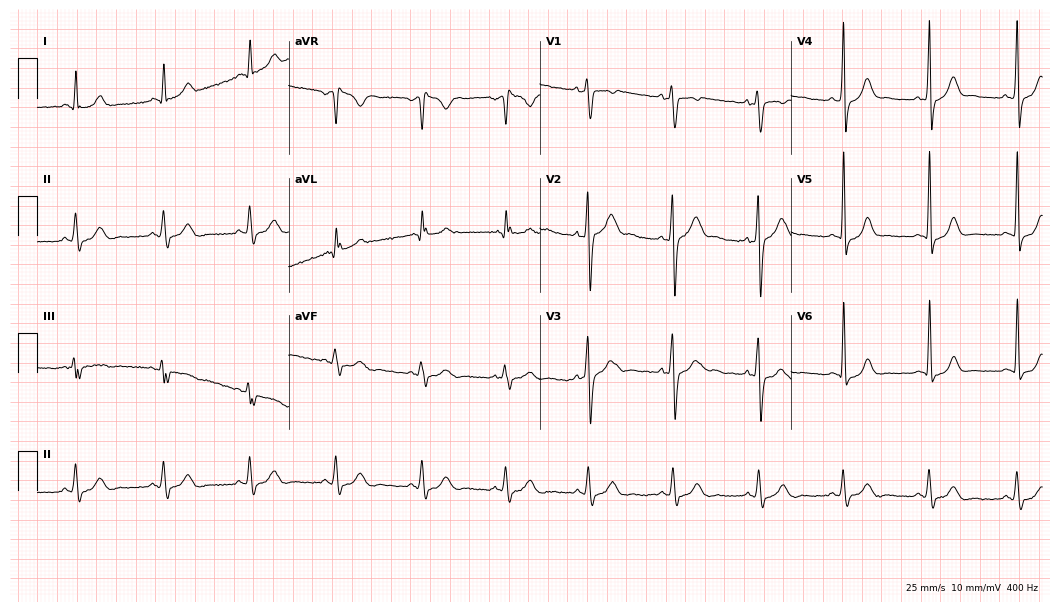
Electrocardiogram (10.2-second recording at 400 Hz), a 42-year-old male. Of the six screened findings (first-degree AV block, right bundle branch block, left bundle branch block, sinus bradycardia, atrial fibrillation, sinus tachycardia), none is recorded. Findings outside these six are not listed.